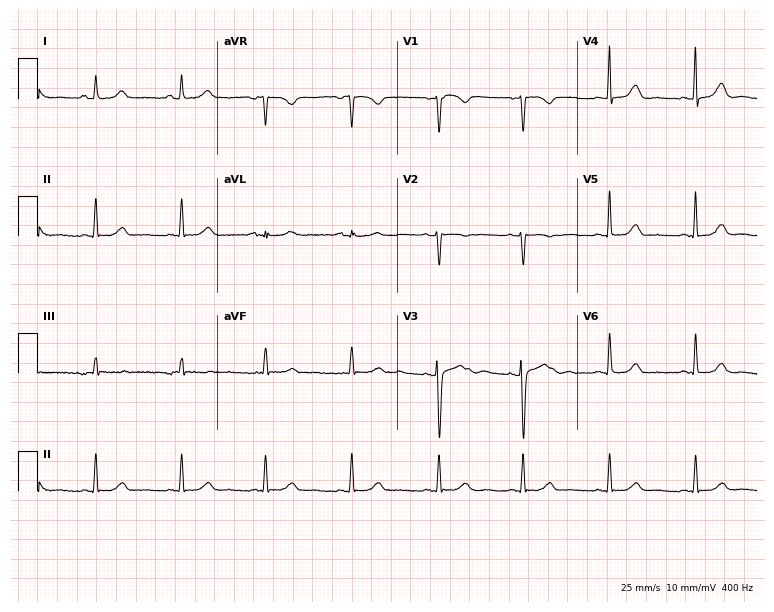
Resting 12-lead electrocardiogram (7.3-second recording at 400 Hz). Patient: a female, 40 years old. Read as a normal ECG.